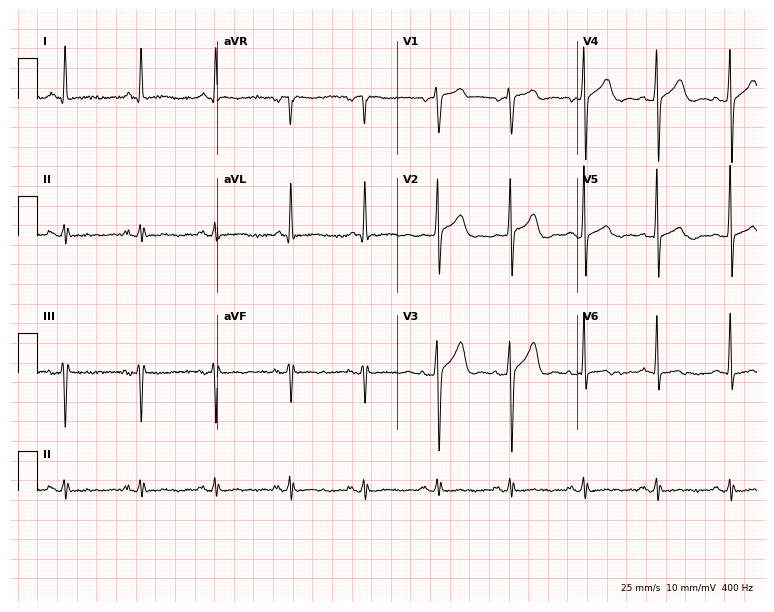
ECG (7.3-second recording at 400 Hz) — a 67-year-old male patient. Screened for six findings — first-degree AV block, right bundle branch block (RBBB), left bundle branch block (LBBB), sinus bradycardia, atrial fibrillation (AF), sinus tachycardia — none is recorded. Only these six findings were labelled.